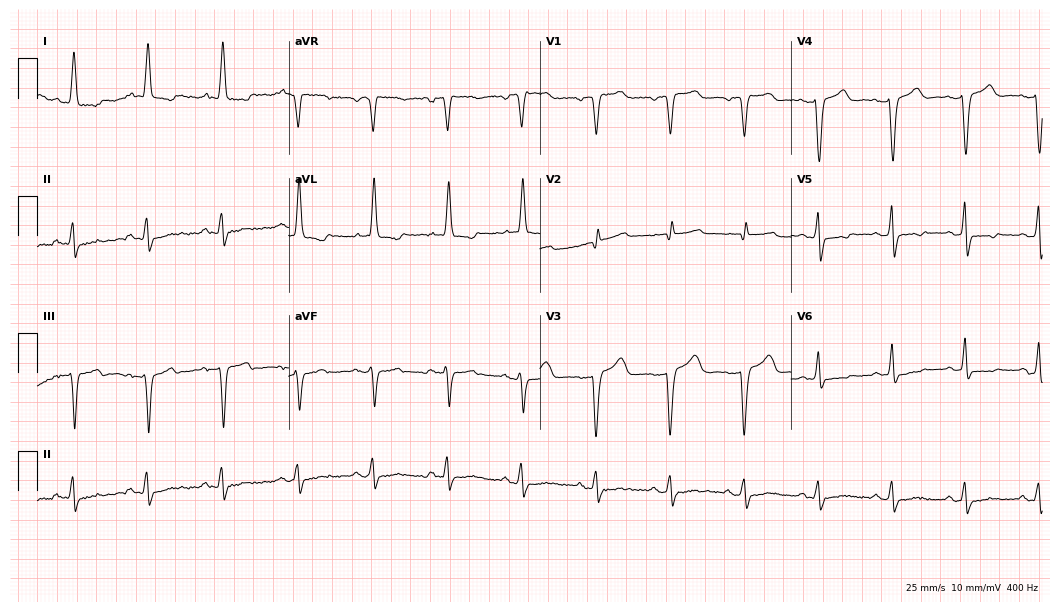
Standard 12-lead ECG recorded from an 85-year-old woman (10.2-second recording at 400 Hz). None of these six findings is recorded: first-degree AV block, right bundle branch block (RBBB), left bundle branch block (LBBB), sinus bradycardia, atrial fibrillation (AF), sinus tachycardia. Only these six findings were labelled.